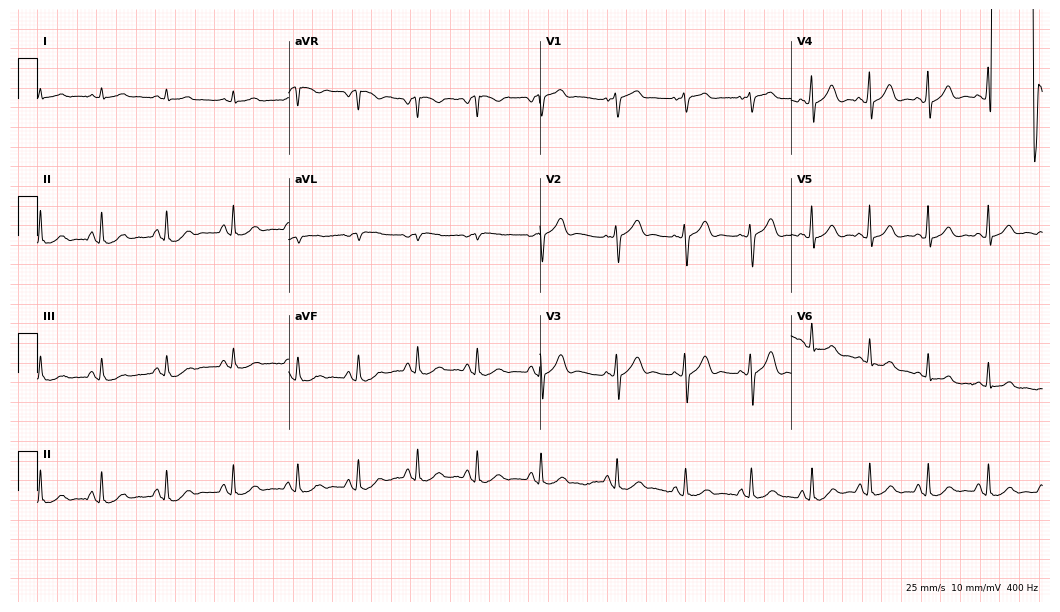
Standard 12-lead ECG recorded from a 67-year-old man. Read as a normal ECG.